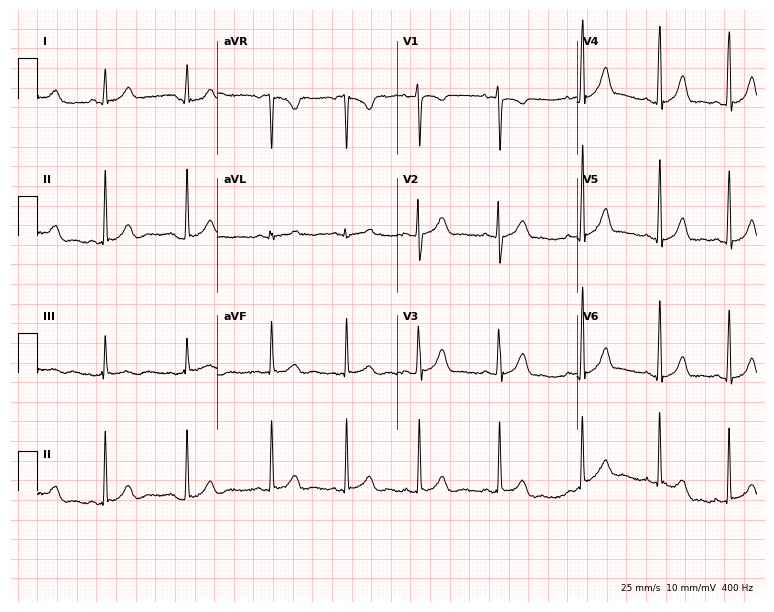
Standard 12-lead ECG recorded from a female, 19 years old (7.3-second recording at 400 Hz). None of these six findings is recorded: first-degree AV block, right bundle branch block (RBBB), left bundle branch block (LBBB), sinus bradycardia, atrial fibrillation (AF), sinus tachycardia. Findings outside these six are not listed.